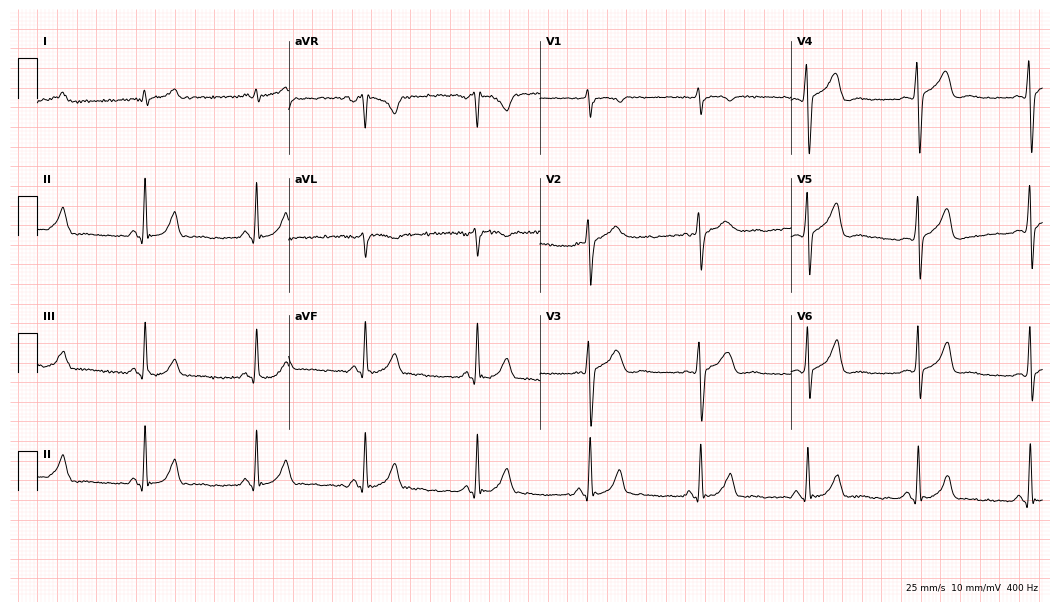
ECG (10.2-second recording at 400 Hz) — a male, 49 years old. Screened for six findings — first-degree AV block, right bundle branch block, left bundle branch block, sinus bradycardia, atrial fibrillation, sinus tachycardia — none is recorded.